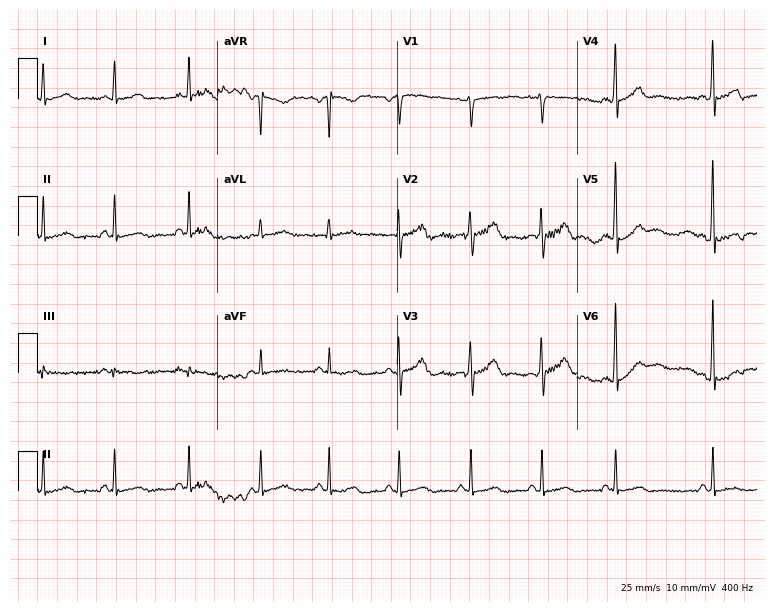
Standard 12-lead ECG recorded from a woman, 43 years old (7.3-second recording at 400 Hz). None of these six findings is recorded: first-degree AV block, right bundle branch block (RBBB), left bundle branch block (LBBB), sinus bradycardia, atrial fibrillation (AF), sinus tachycardia.